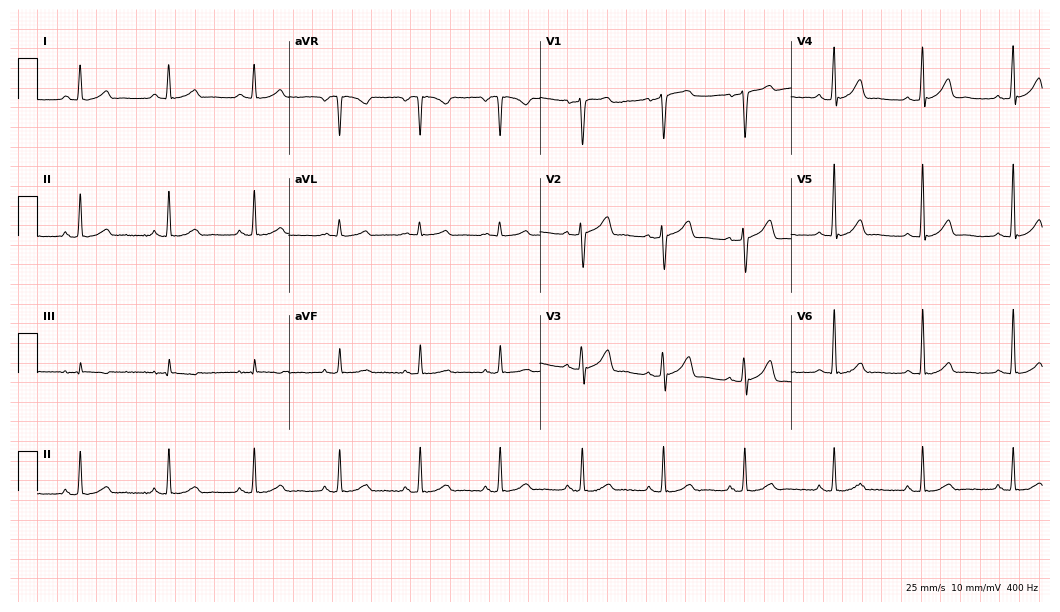
Resting 12-lead electrocardiogram (10.2-second recording at 400 Hz). Patient: a 49-year-old man. None of these six findings is recorded: first-degree AV block, right bundle branch block, left bundle branch block, sinus bradycardia, atrial fibrillation, sinus tachycardia. Other findings, if any, are not listed.